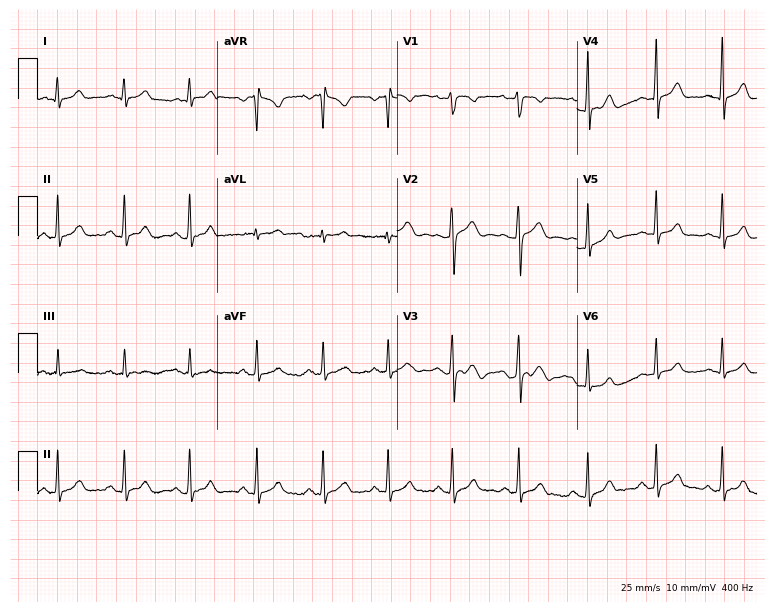
Resting 12-lead electrocardiogram. Patient: a female, 24 years old. None of these six findings is recorded: first-degree AV block, right bundle branch block, left bundle branch block, sinus bradycardia, atrial fibrillation, sinus tachycardia. Only these six findings were labelled.